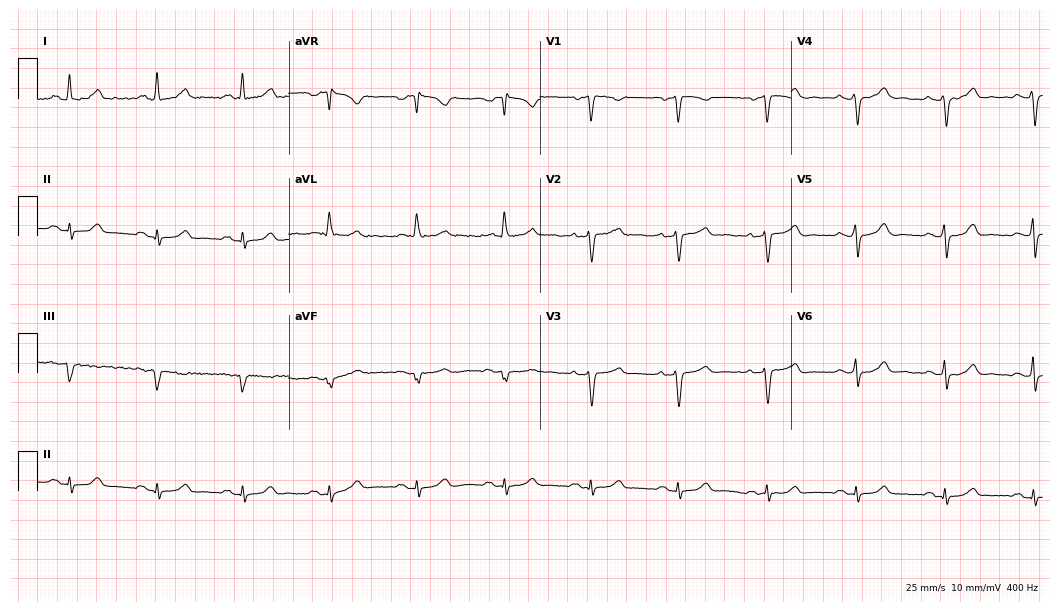
ECG (10.2-second recording at 400 Hz) — a female patient, 53 years old. Screened for six findings — first-degree AV block, right bundle branch block, left bundle branch block, sinus bradycardia, atrial fibrillation, sinus tachycardia — none is recorded. Findings outside these six are not listed.